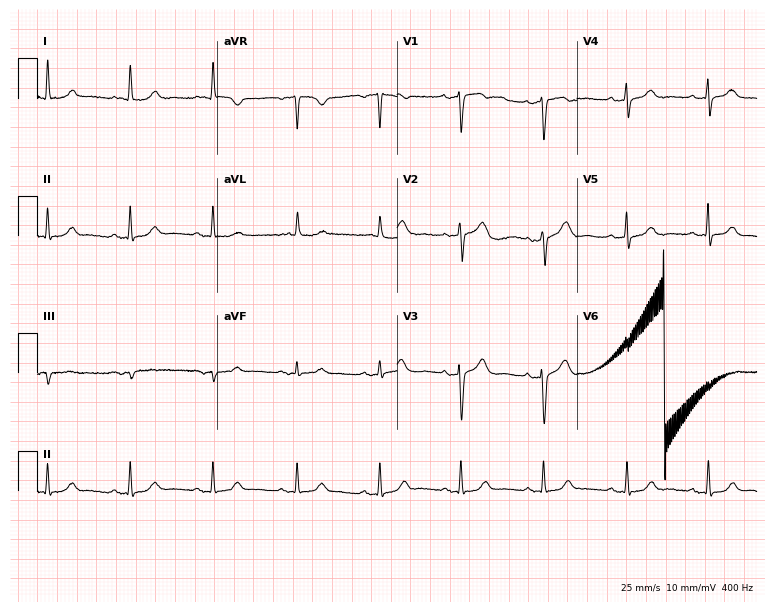
12-lead ECG from a 75-year-old female patient. Labelled as a normal ECG.